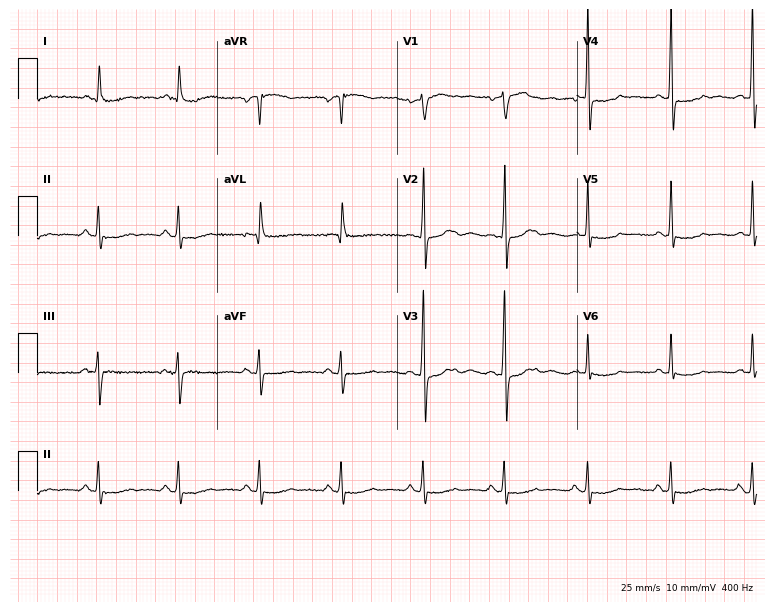
12-lead ECG from a 69-year-old male. Screened for six findings — first-degree AV block, right bundle branch block (RBBB), left bundle branch block (LBBB), sinus bradycardia, atrial fibrillation (AF), sinus tachycardia — none is recorded. Only these six findings were labelled.